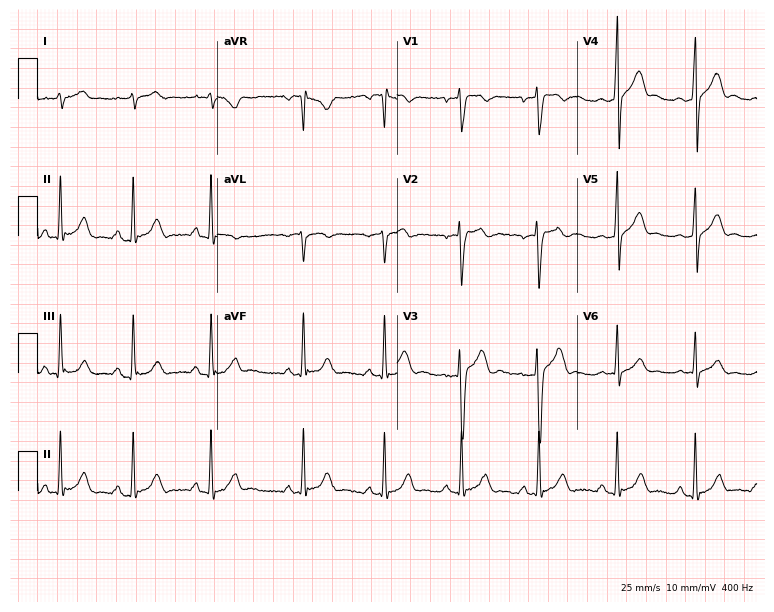
12-lead ECG from a 30-year-old male. No first-degree AV block, right bundle branch block, left bundle branch block, sinus bradycardia, atrial fibrillation or sinus tachycardia recorded for this tracing.